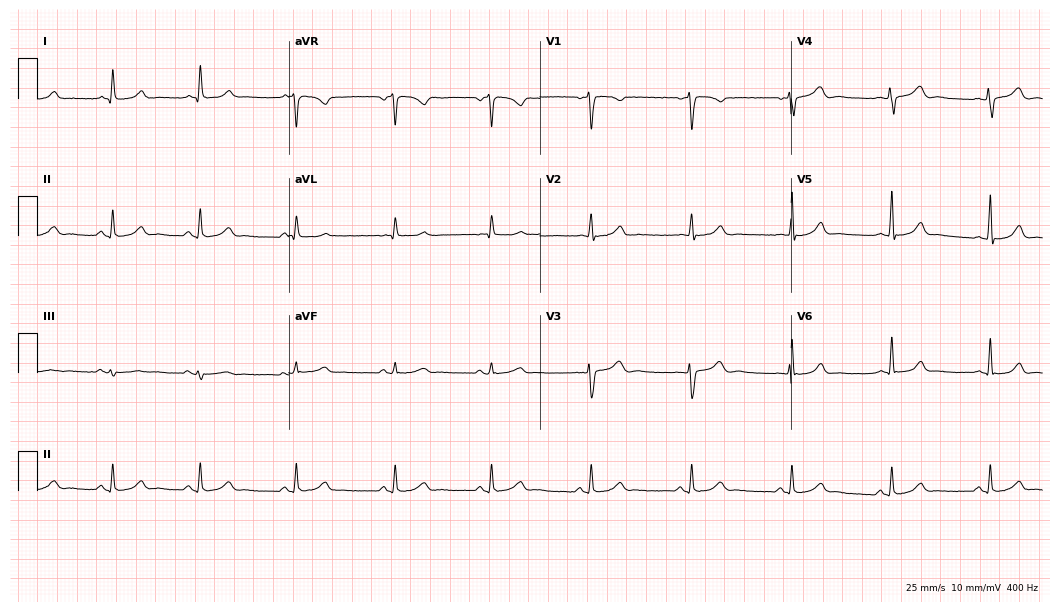
Electrocardiogram (10.2-second recording at 400 Hz), a 29-year-old woman. Of the six screened findings (first-degree AV block, right bundle branch block (RBBB), left bundle branch block (LBBB), sinus bradycardia, atrial fibrillation (AF), sinus tachycardia), none is recorded. Other findings, if any, are not listed.